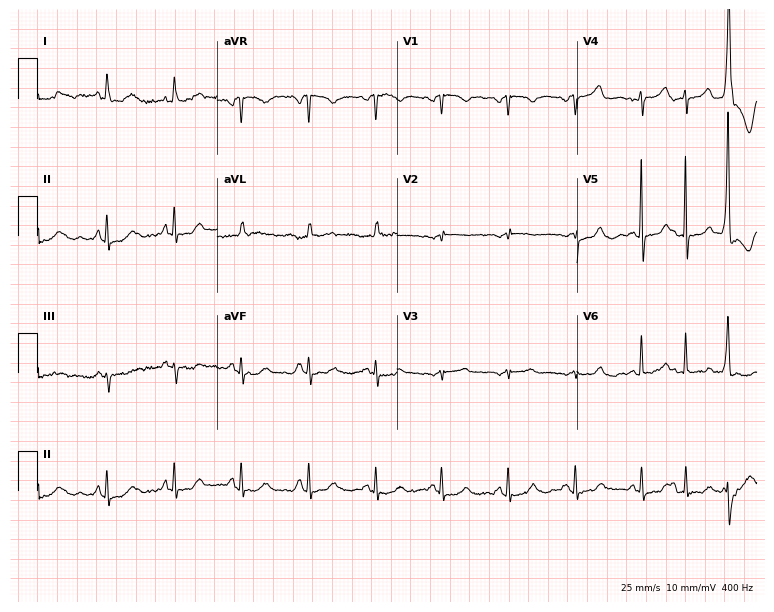
Electrocardiogram, an 81-year-old woman. Of the six screened findings (first-degree AV block, right bundle branch block, left bundle branch block, sinus bradycardia, atrial fibrillation, sinus tachycardia), none is recorded.